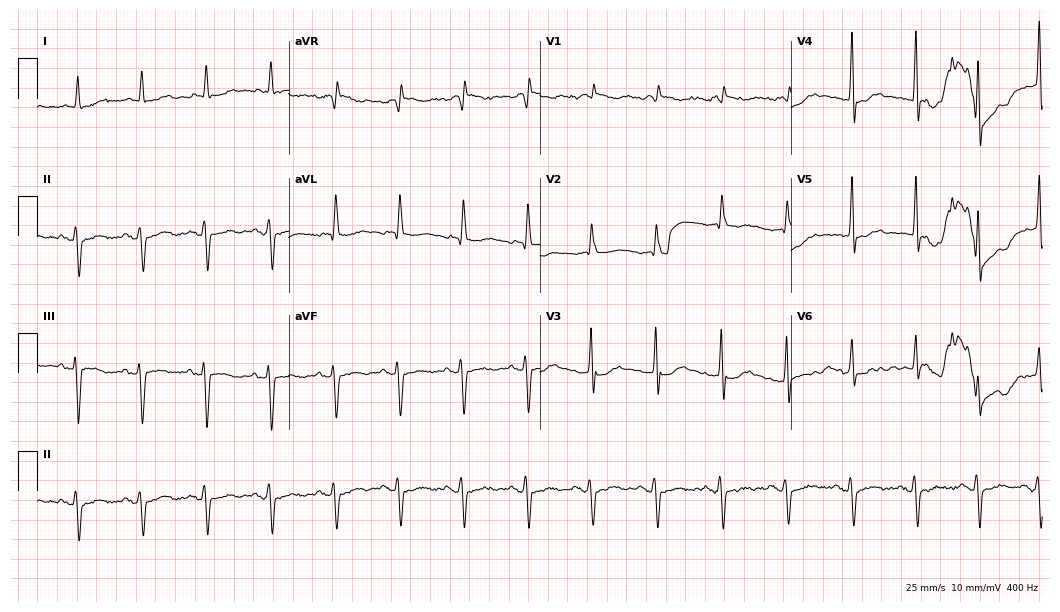
Standard 12-lead ECG recorded from an 83-year-old male patient. None of these six findings is recorded: first-degree AV block, right bundle branch block, left bundle branch block, sinus bradycardia, atrial fibrillation, sinus tachycardia.